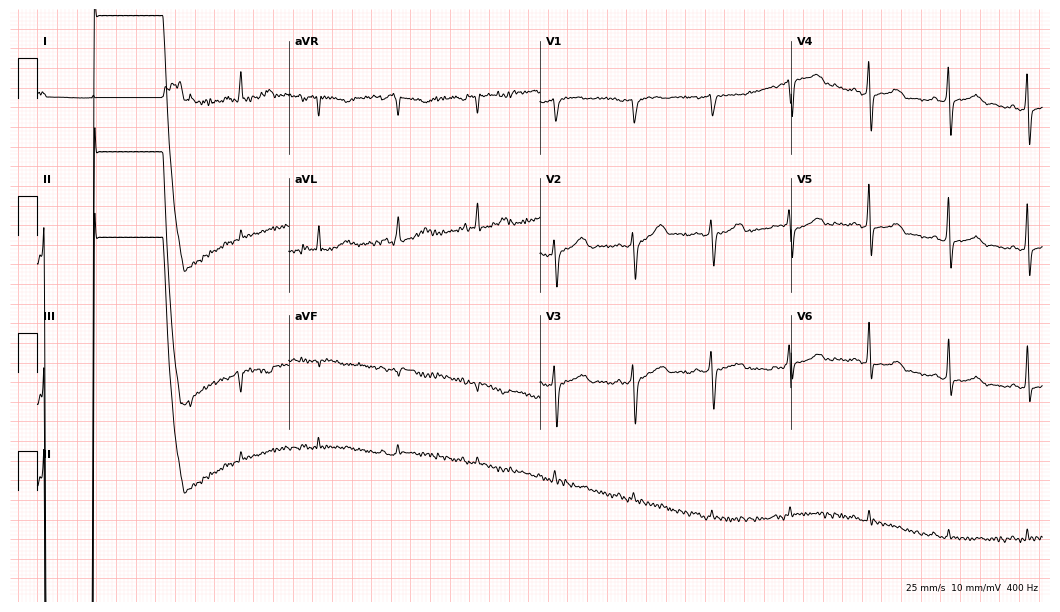
ECG — a man, 52 years old. Screened for six findings — first-degree AV block, right bundle branch block (RBBB), left bundle branch block (LBBB), sinus bradycardia, atrial fibrillation (AF), sinus tachycardia — none is recorded. Findings outside these six are not listed.